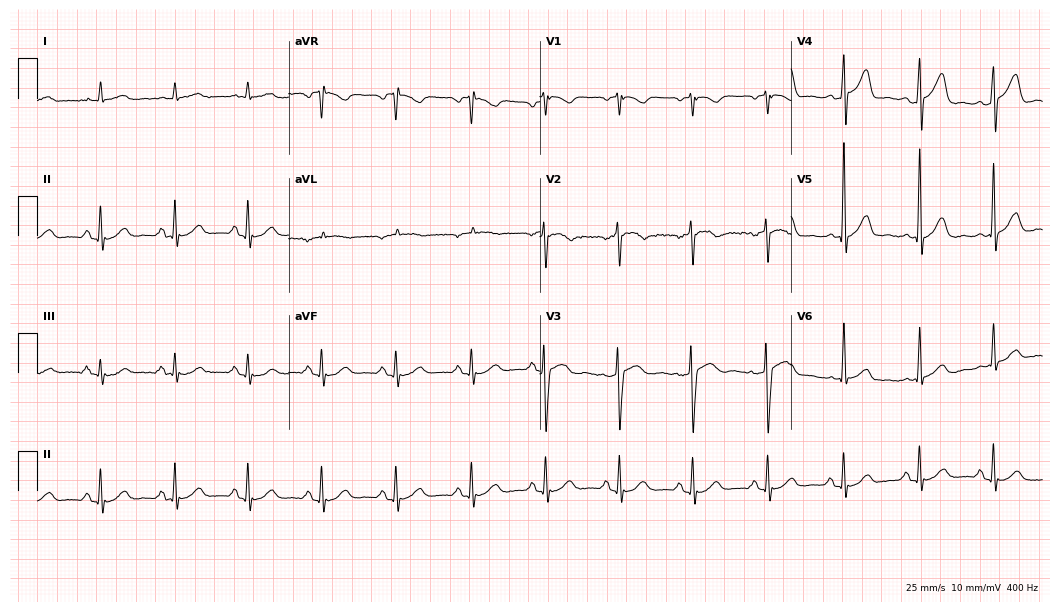
Resting 12-lead electrocardiogram (10.2-second recording at 400 Hz). Patient: a 78-year-old male. Read as a normal ECG.